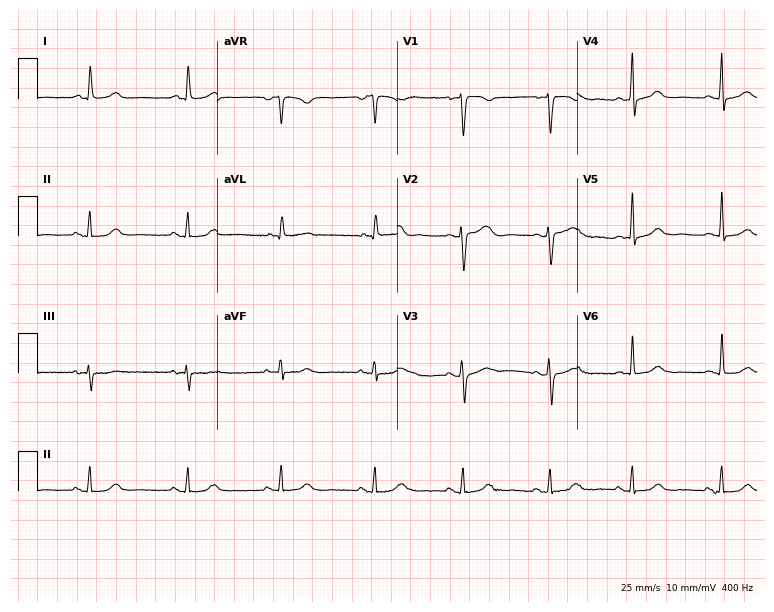
12-lead ECG from a 65-year-old female. Recorded interpretation: within normal limits.